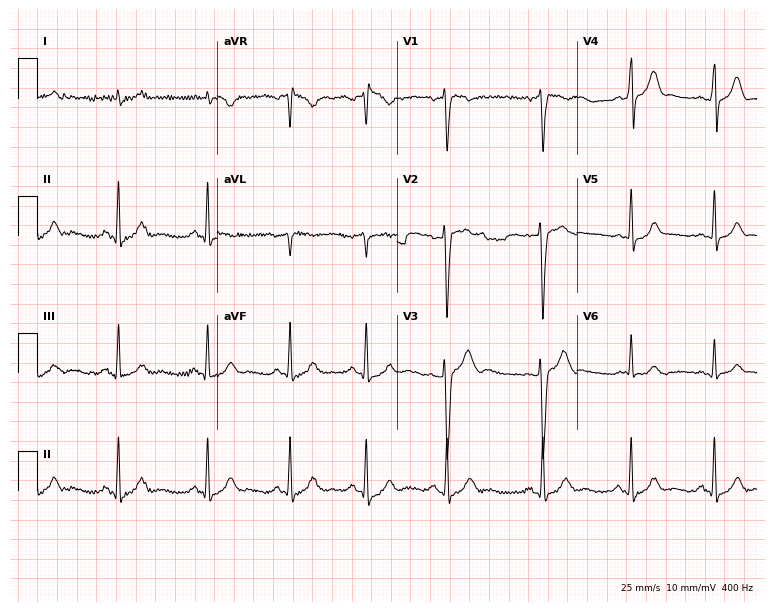
Standard 12-lead ECG recorded from a 20-year-old man. Read as a normal ECG.